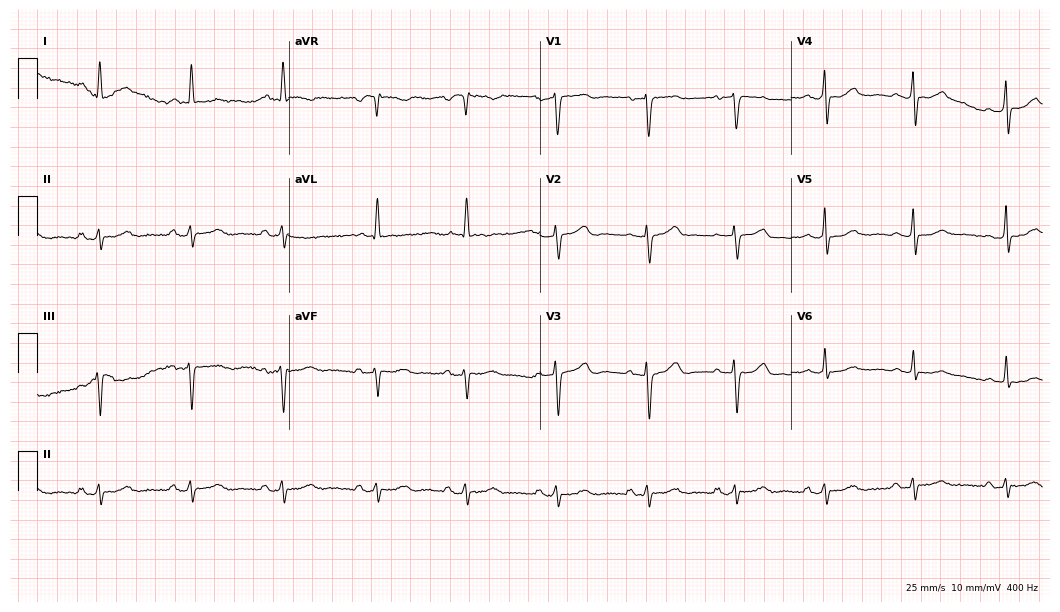
Resting 12-lead electrocardiogram. Patient: a woman, 76 years old. None of these six findings is recorded: first-degree AV block, right bundle branch block, left bundle branch block, sinus bradycardia, atrial fibrillation, sinus tachycardia.